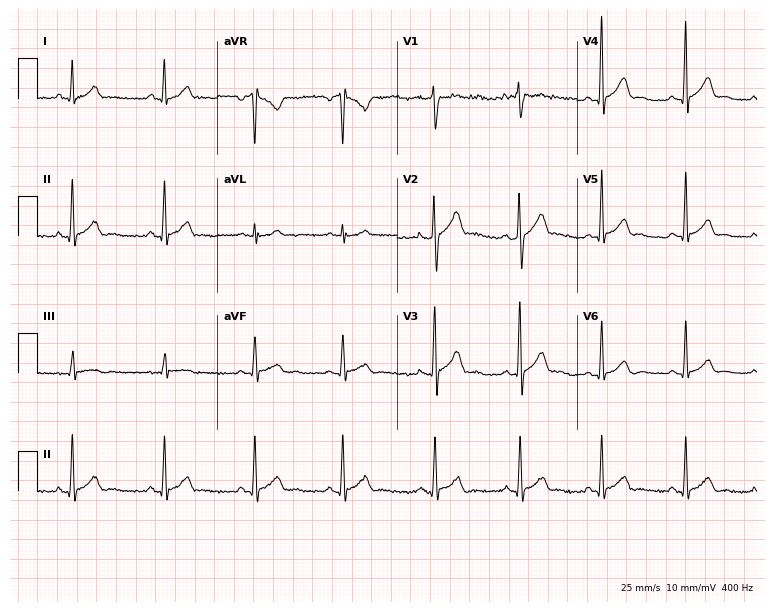
Standard 12-lead ECG recorded from a man, 23 years old (7.3-second recording at 400 Hz). None of these six findings is recorded: first-degree AV block, right bundle branch block, left bundle branch block, sinus bradycardia, atrial fibrillation, sinus tachycardia. Only these six findings were labelled.